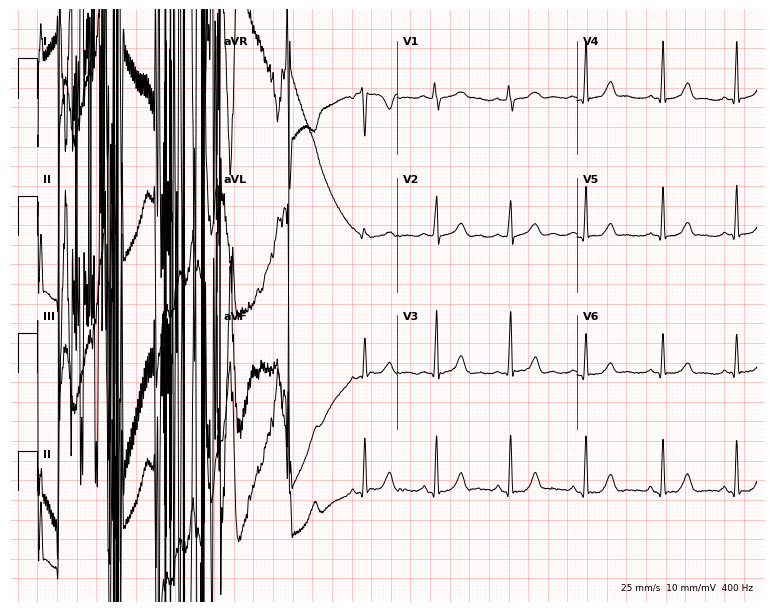
Electrocardiogram, a female, 25 years old. Of the six screened findings (first-degree AV block, right bundle branch block, left bundle branch block, sinus bradycardia, atrial fibrillation, sinus tachycardia), none is recorded.